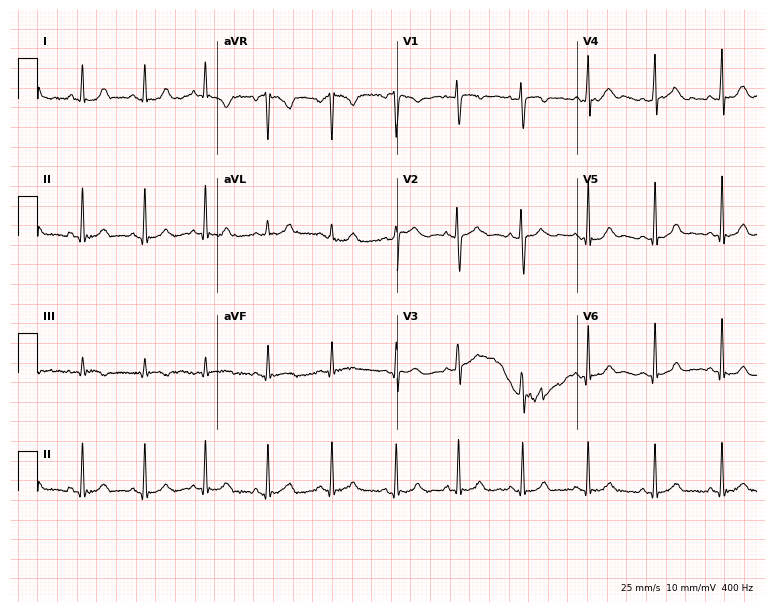
Resting 12-lead electrocardiogram (7.3-second recording at 400 Hz). Patient: a female, 21 years old. None of these six findings is recorded: first-degree AV block, right bundle branch block, left bundle branch block, sinus bradycardia, atrial fibrillation, sinus tachycardia. Findings outside these six are not listed.